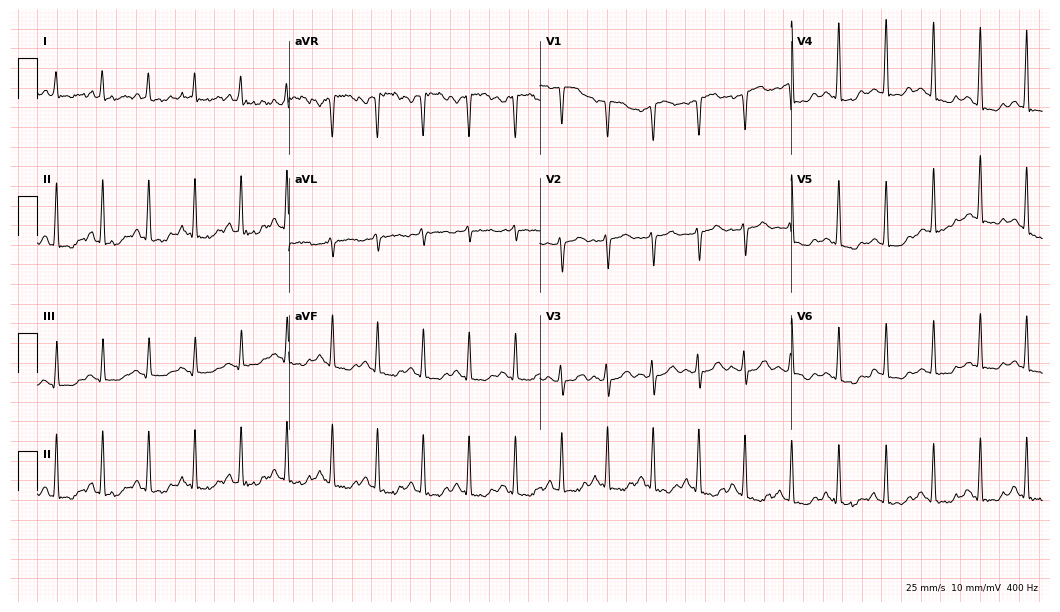
12-lead ECG (10.2-second recording at 400 Hz) from a woman, 43 years old. Findings include sinus tachycardia (a sinus rate of 100 beats per minute or more).